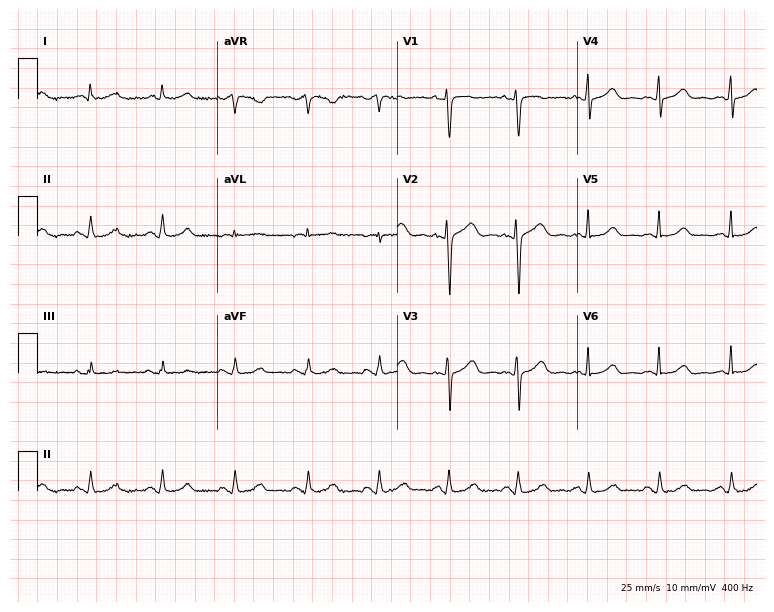
12-lead ECG (7.3-second recording at 400 Hz) from a woman, 43 years old. Screened for six findings — first-degree AV block, right bundle branch block, left bundle branch block, sinus bradycardia, atrial fibrillation, sinus tachycardia — none is recorded.